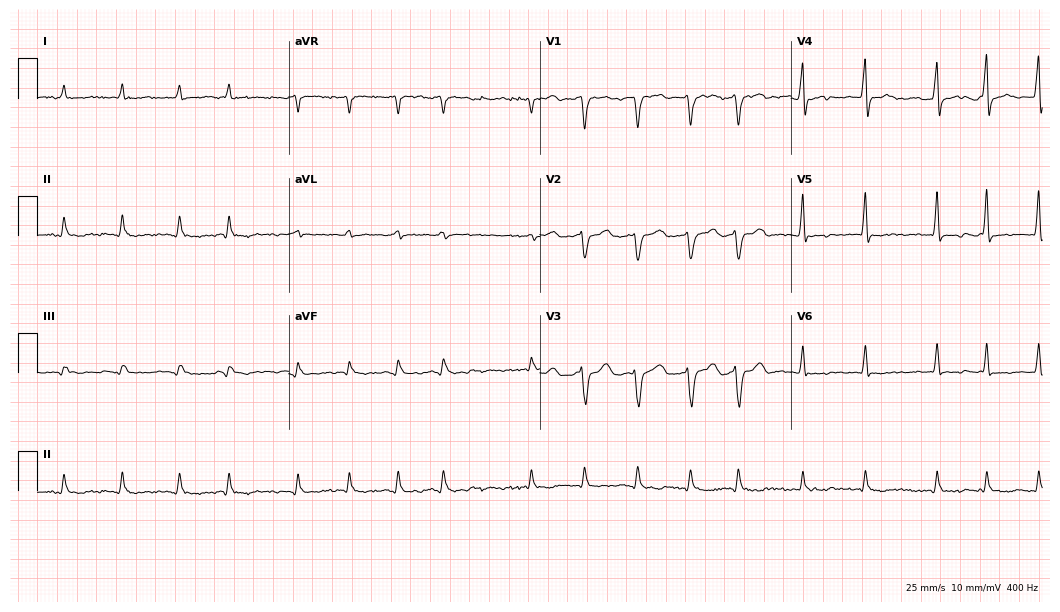
ECG (10.2-second recording at 400 Hz) — a man, 65 years old. Findings include atrial fibrillation (AF).